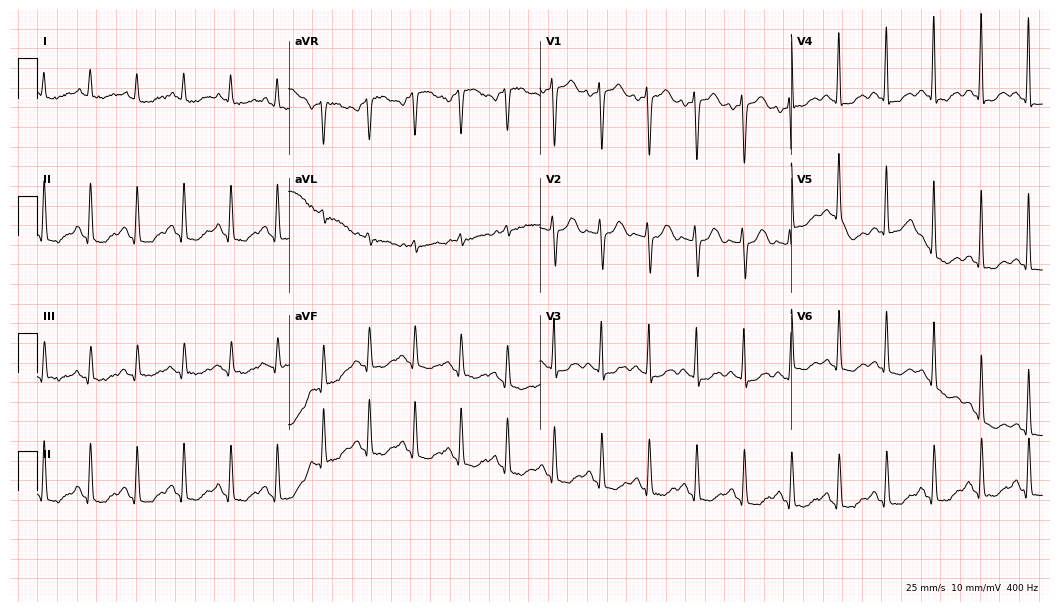
12-lead ECG from a woman, 75 years old. Screened for six findings — first-degree AV block, right bundle branch block (RBBB), left bundle branch block (LBBB), sinus bradycardia, atrial fibrillation (AF), sinus tachycardia — none is recorded. Only these six findings were labelled.